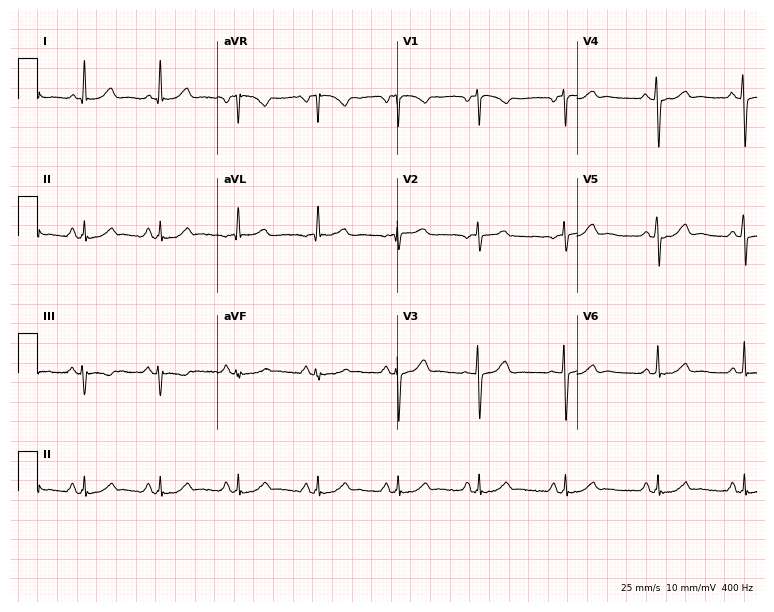
Electrocardiogram (7.3-second recording at 400 Hz), a female, 76 years old. Overall reading on record: normal ECG.